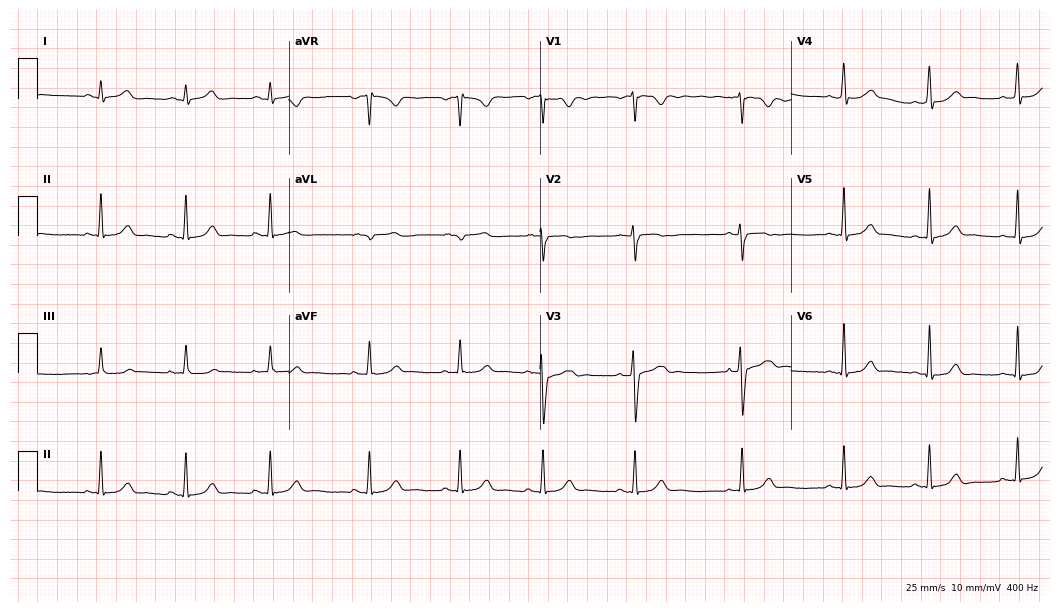
ECG (10.2-second recording at 400 Hz) — a 19-year-old woman. Labelled as a normal ECG.